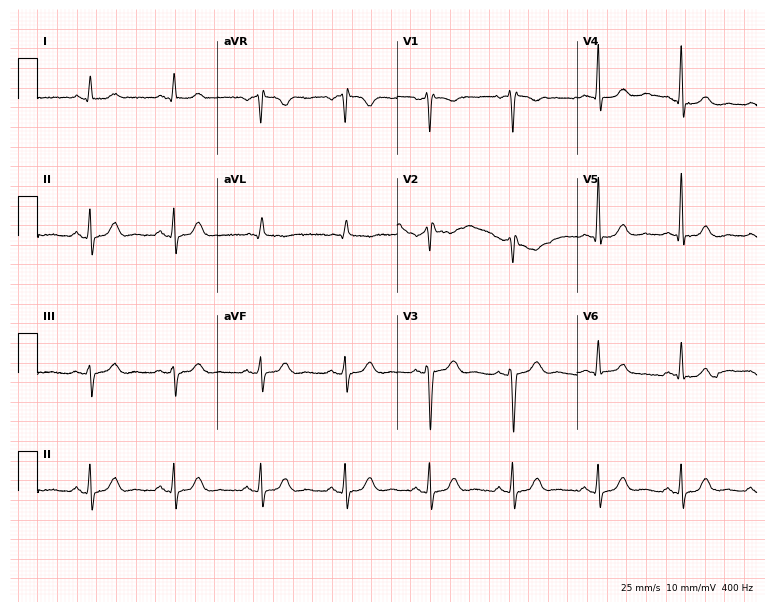
ECG (7.3-second recording at 400 Hz) — a 69-year-old male patient. Labelled as a normal ECG.